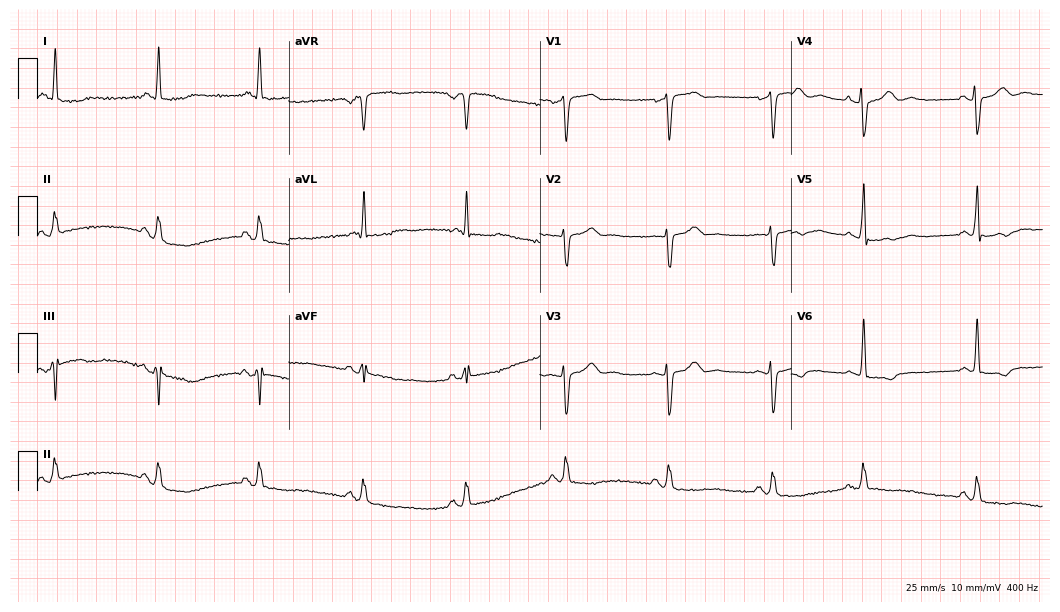
Resting 12-lead electrocardiogram (10.2-second recording at 400 Hz). Patient: a female, 69 years old. None of these six findings is recorded: first-degree AV block, right bundle branch block, left bundle branch block, sinus bradycardia, atrial fibrillation, sinus tachycardia.